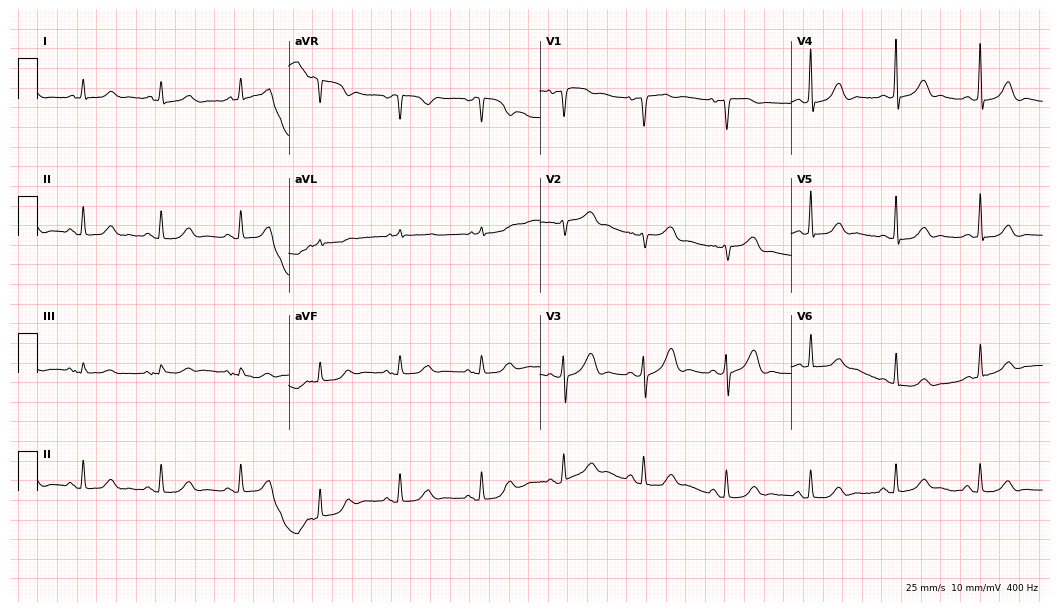
Electrocardiogram (10.2-second recording at 400 Hz), a female, 65 years old. Overall reading on record: normal ECG.